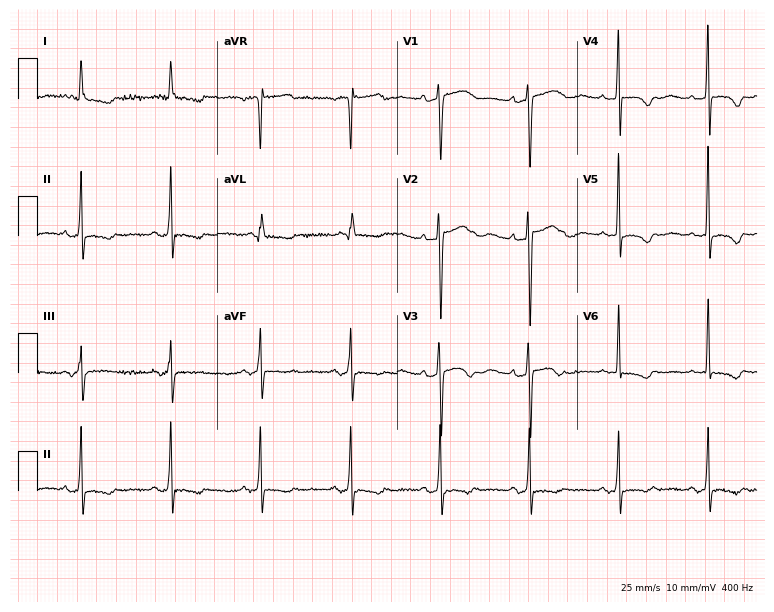
12-lead ECG from a female patient, 66 years old. No first-degree AV block, right bundle branch block, left bundle branch block, sinus bradycardia, atrial fibrillation or sinus tachycardia recorded for this tracing. Only these six findings were labelled.